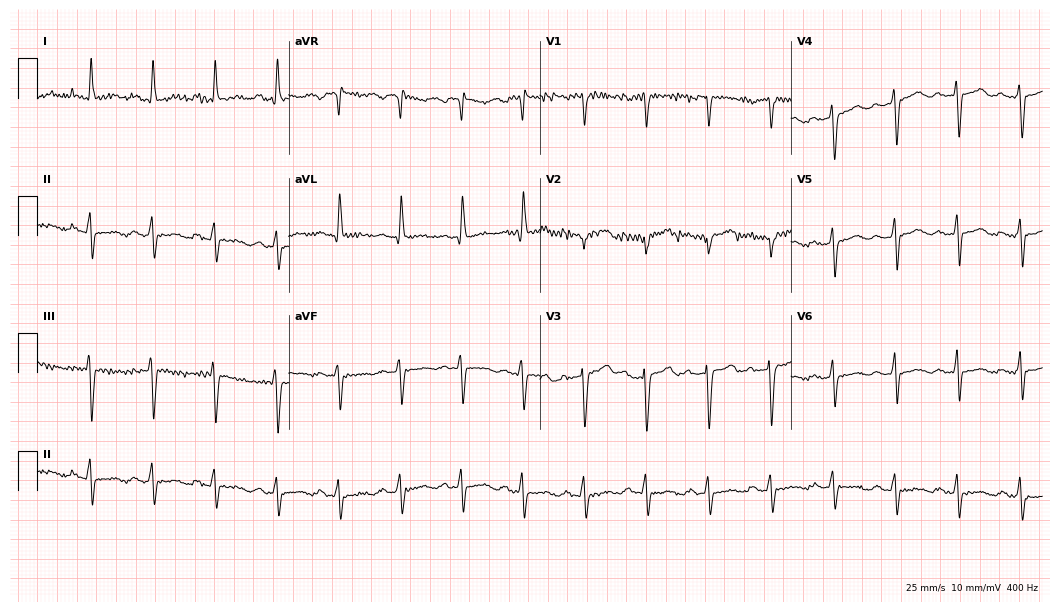
Resting 12-lead electrocardiogram. Patient: a 58-year-old female. None of these six findings is recorded: first-degree AV block, right bundle branch block, left bundle branch block, sinus bradycardia, atrial fibrillation, sinus tachycardia.